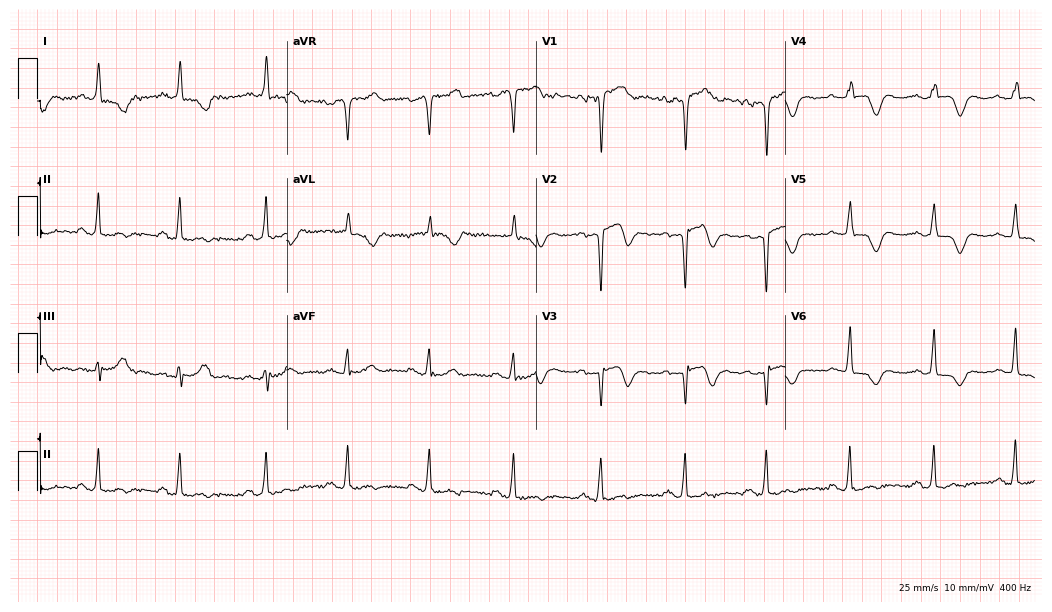
Resting 12-lead electrocardiogram. Patient: a 78-year-old female. None of these six findings is recorded: first-degree AV block, right bundle branch block, left bundle branch block, sinus bradycardia, atrial fibrillation, sinus tachycardia.